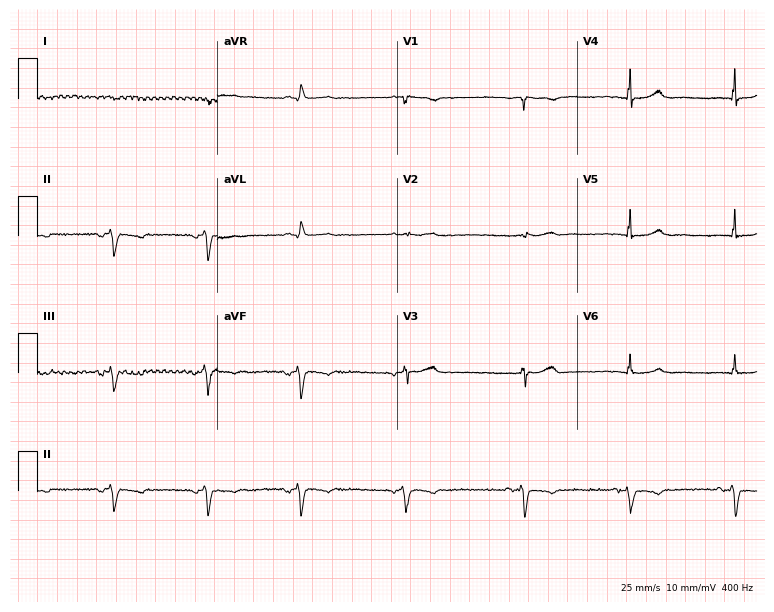
12-lead ECG from a woman, 68 years old. Screened for six findings — first-degree AV block, right bundle branch block, left bundle branch block, sinus bradycardia, atrial fibrillation, sinus tachycardia — none is recorded. Other findings, if any, are not listed.